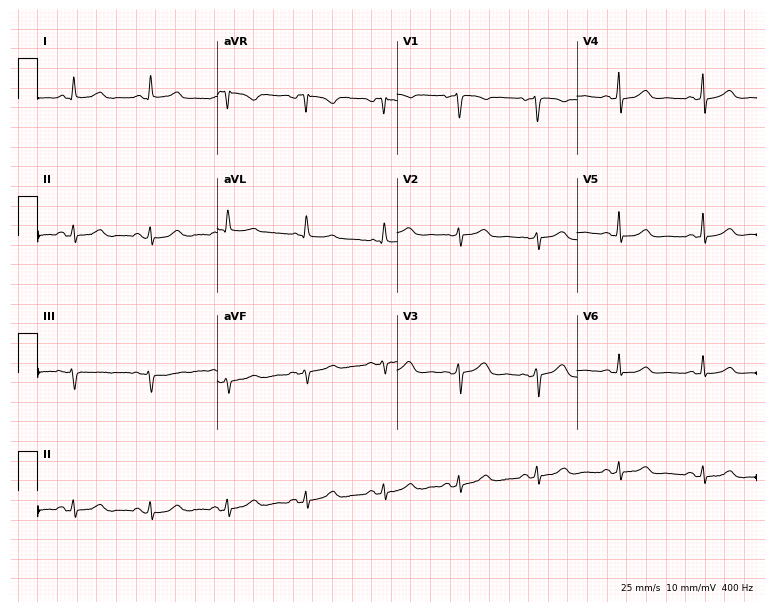
Electrocardiogram (7.3-second recording at 400 Hz), a female patient, 47 years old. Of the six screened findings (first-degree AV block, right bundle branch block, left bundle branch block, sinus bradycardia, atrial fibrillation, sinus tachycardia), none is recorded.